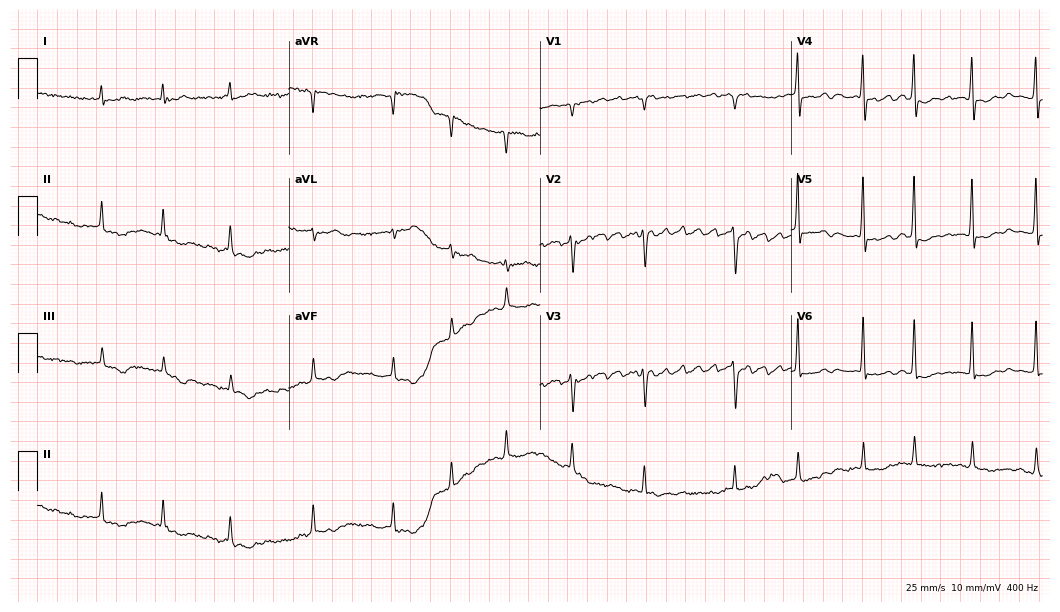
ECG — a female, 84 years old. Findings include atrial fibrillation.